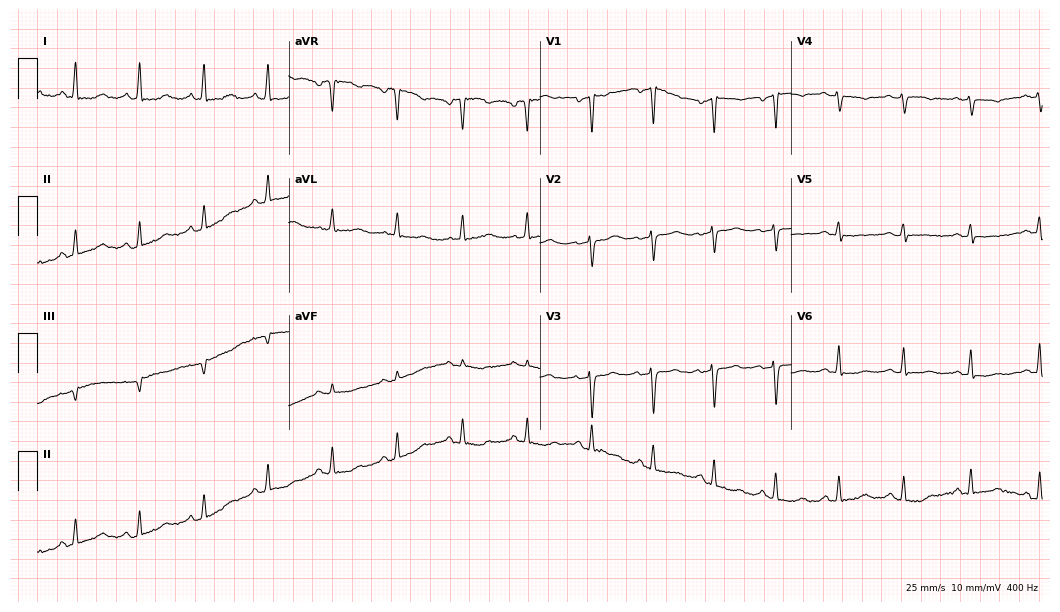
12-lead ECG from a female patient, 60 years old (10.2-second recording at 400 Hz). Recorded interpretation: within normal limits.